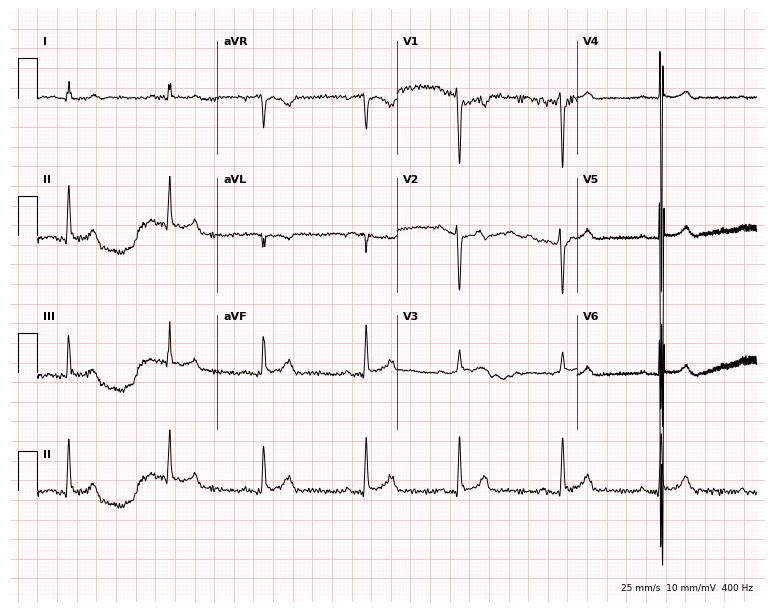
Standard 12-lead ECG recorded from a 31-year-old female patient (7.3-second recording at 400 Hz). None of these six findings is recorded: first-degree AV block, right bundle branch block, left bundle branch block, sinus bradycardia, atrial fibrillation, sinus tachycardia.